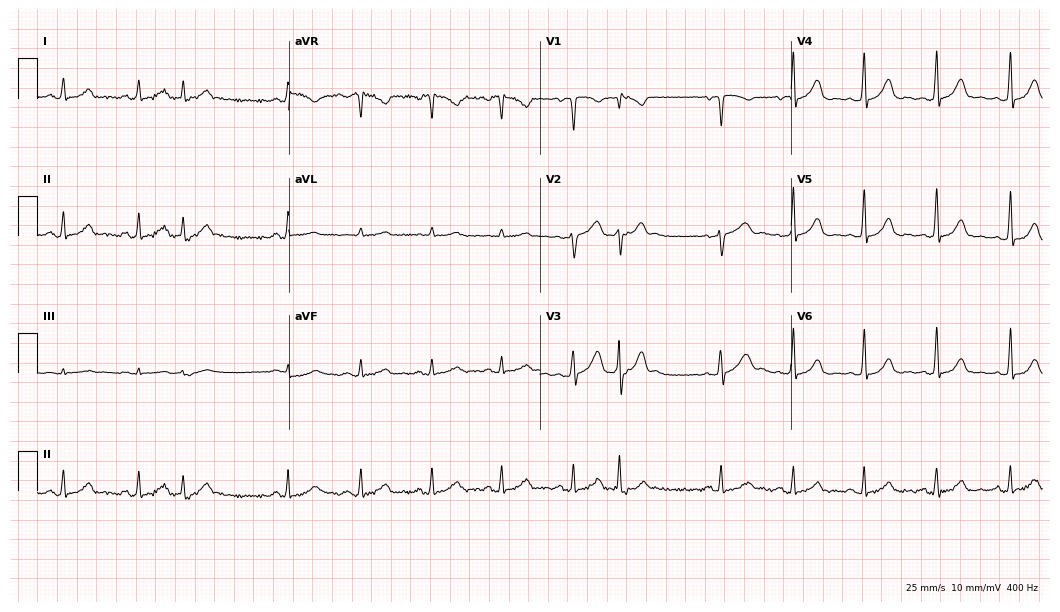
ECG (10.2-second recording at 400 Hz) — a female, 40 years old. Screened for six findings — first-degree AV block, right bundle branch block (RBBB), left bundle branch block (LBBB), sinus bradycardia, atrial fibrillation (AF), sinus tachycardia — none is recorded. Only these six findings were labelled.